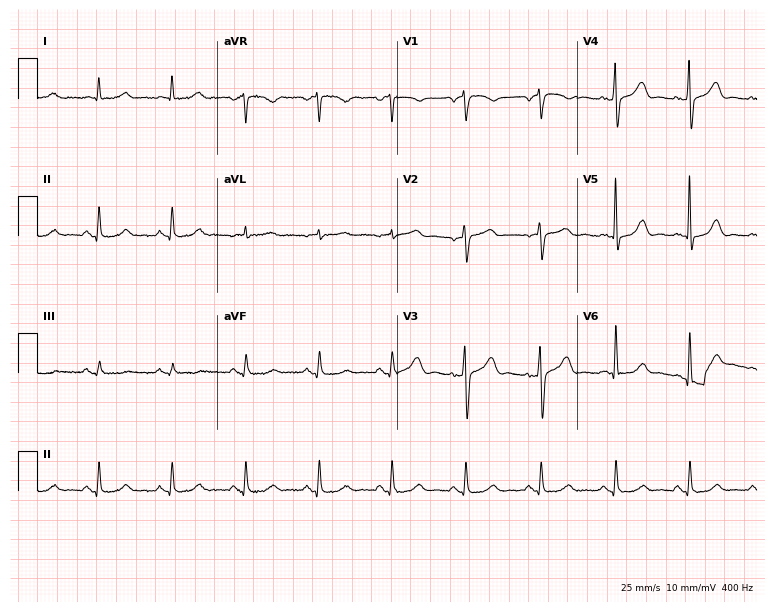
ECG (7.3-second recording at 400 Hz) — an 80-year-old male patient. Labelled as a normal ECG.